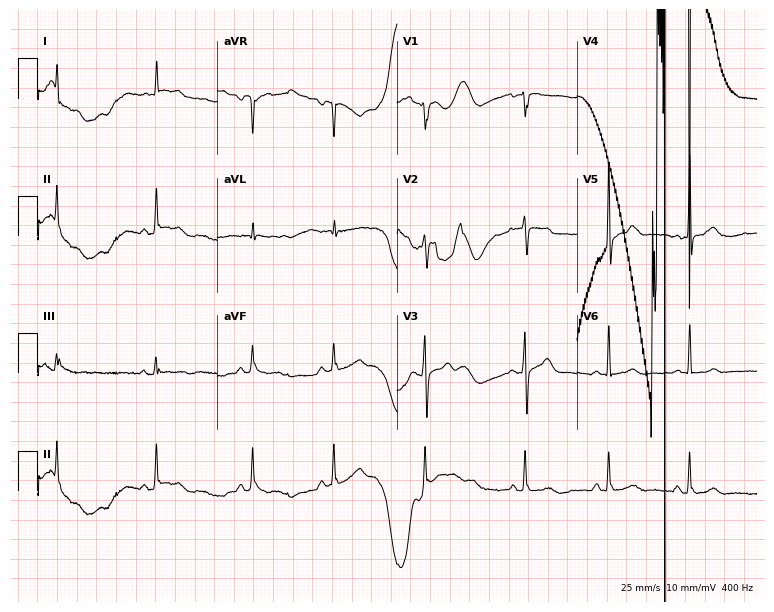
12-lead ECG from a 41-year-old female. Screened for six findings — first-degree AV block, right bundle branch block, left bundle branch block, sinus bradycardia, atrial fibrillation, sinus tachycardia — none is recorded.